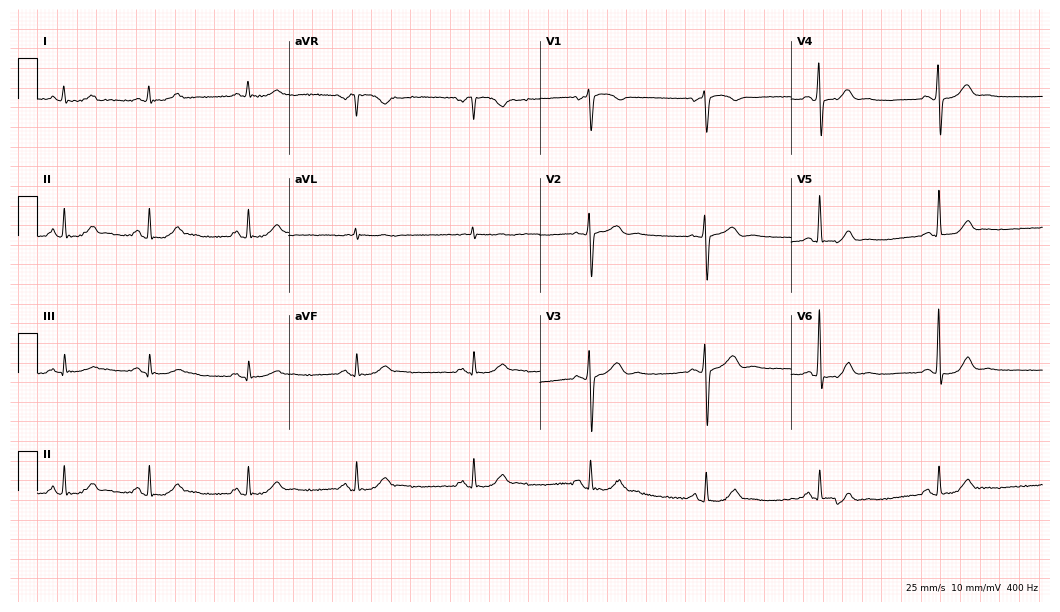
Resting 12-lead electrocardiogram (10.2-second recording at 400 Hz). Patient: a 41-year-old man. Read as a normal ECG.